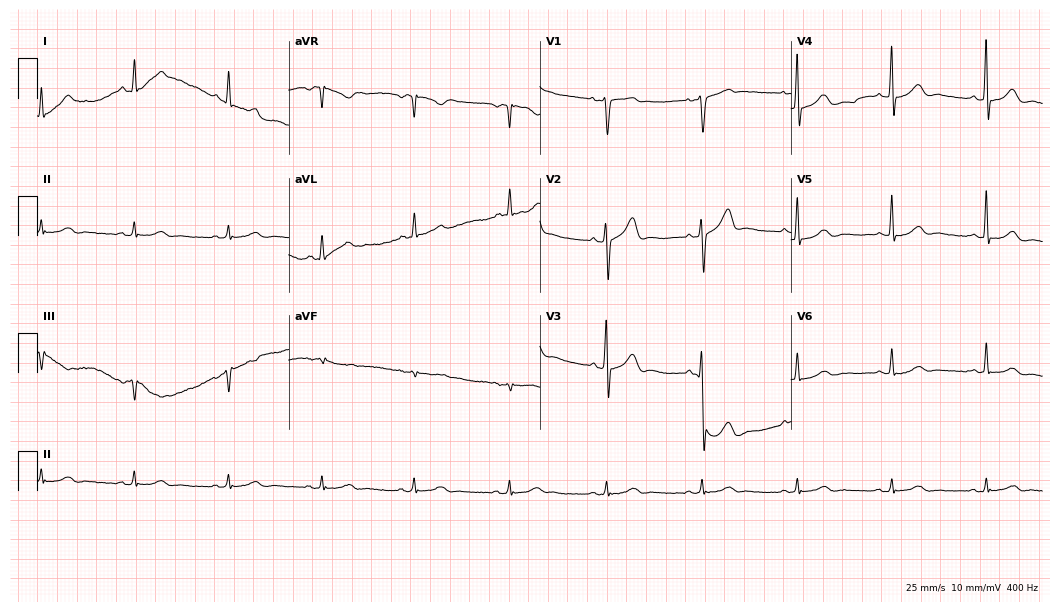
ECG (10.2-second recording at 400 Hz) — a 65-year-old male patient. Labelled as a normal ECG.